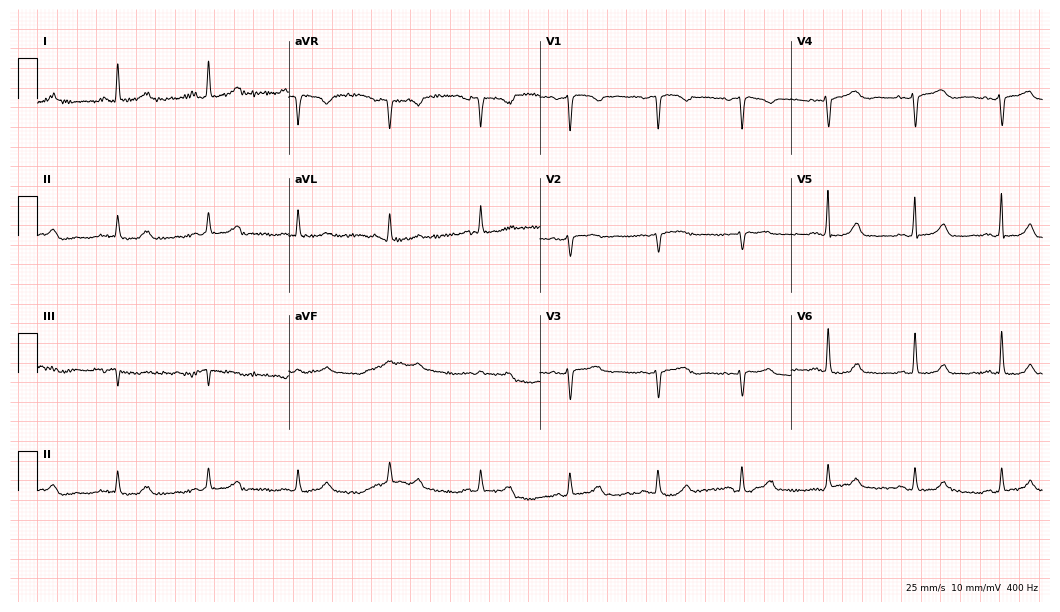
12-lead ECG from a 66-year-old woman (10.2-second recording at 400 Hz). No first-degree AV block, right bundle branch block, left bundle branch block, sinus bradycardia, atrial fibrillation or sinus tachycardia recorded for this tracing. Other findings, if any, are not listed.